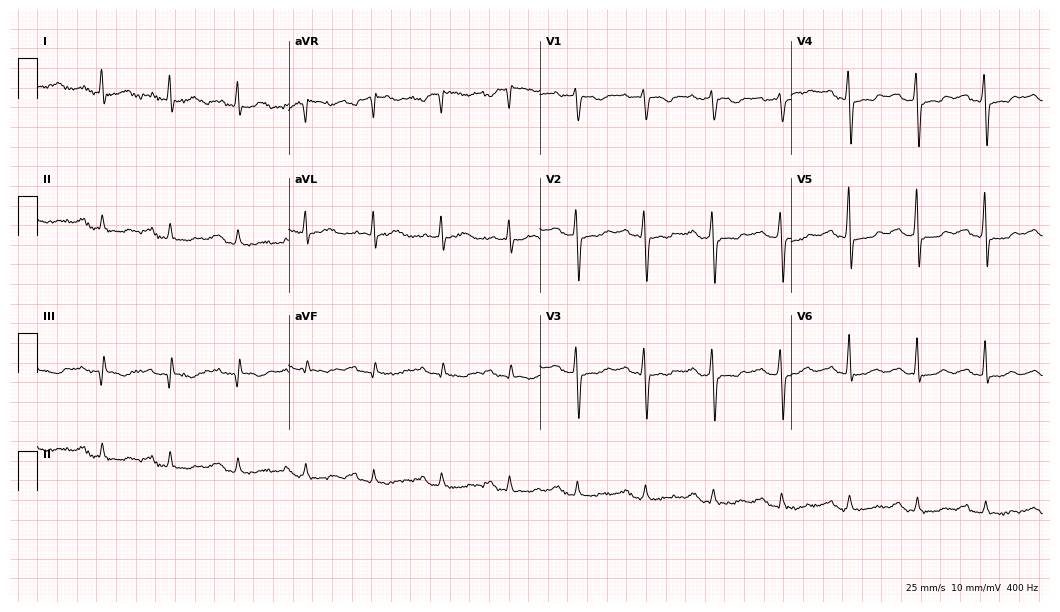
Resting 12-lead electrocardiogram. Patient: a 59-year-old male. None of these six findings is recorded: first-degree AV block, right bundle branch block (RBBB), left bundle branch block (LBBB), sinus bradycardia, atrial fibrillation (AF), sinus tachycardia. Findings outside these six are not listed.